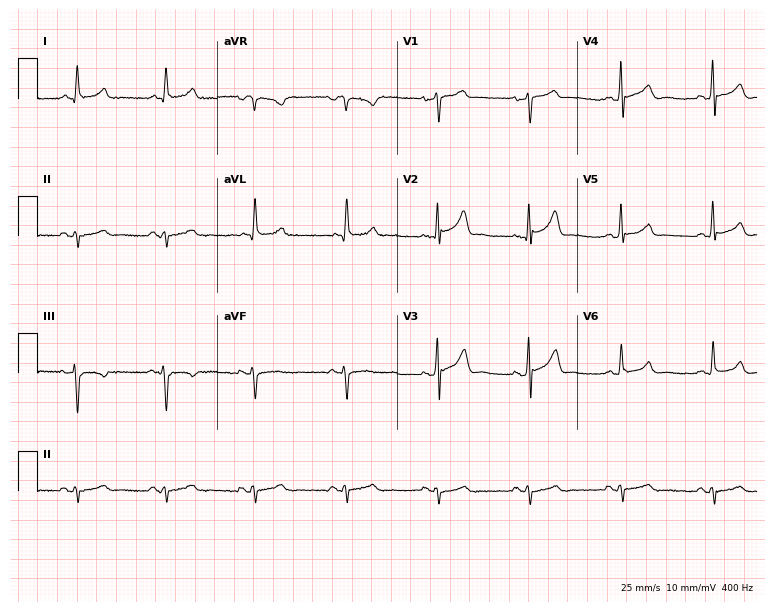
12-lead ECG from a 59-year-old male patient (7.3-second recording at 400 Hz). No first-degree AV block, right bundle branch block, left bundle branch block, sinus bradycardia, atrial fibrillation or sinus tachycardia recorded for this tracing.